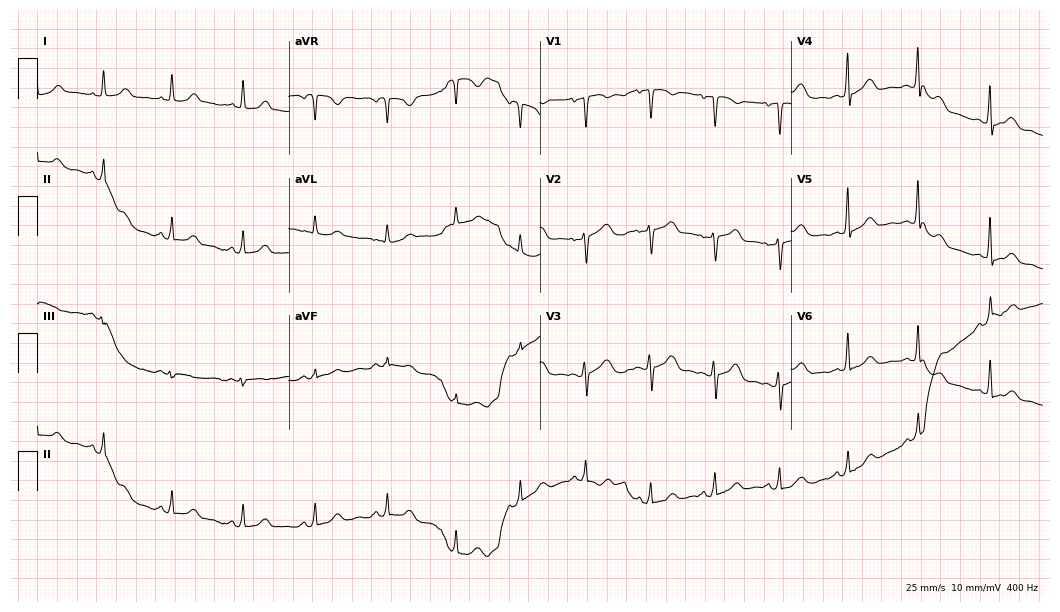
Standard 12-lead ECG recorded from a 40-year-old female patient (10.2-second recording at 400 Hz). Read as a normal ECG.